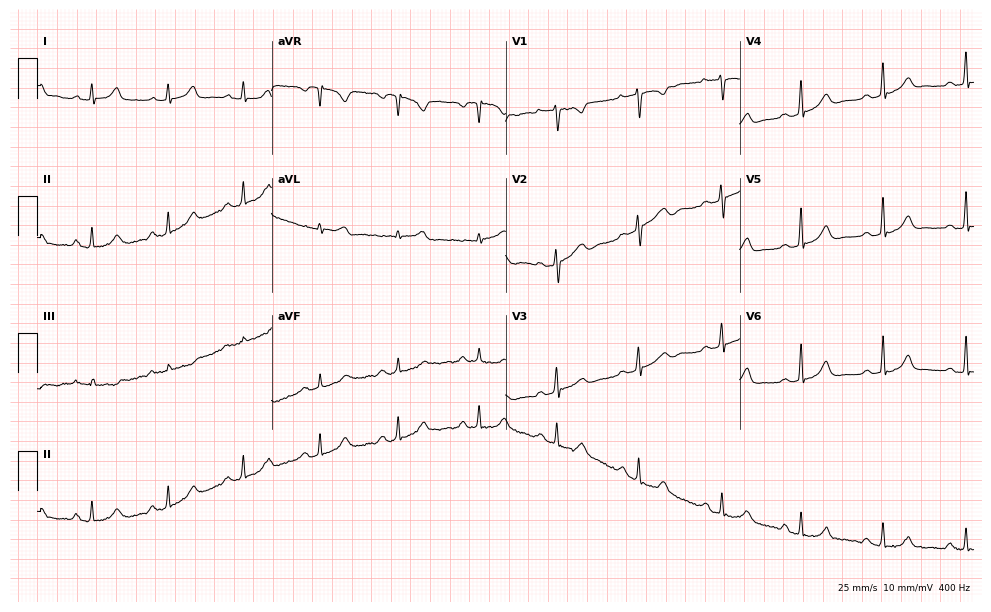
Electrocardiogram (9.5-second recording at 400 Hz), a 29-year-old woman. Overall reading on record: normal ECG.